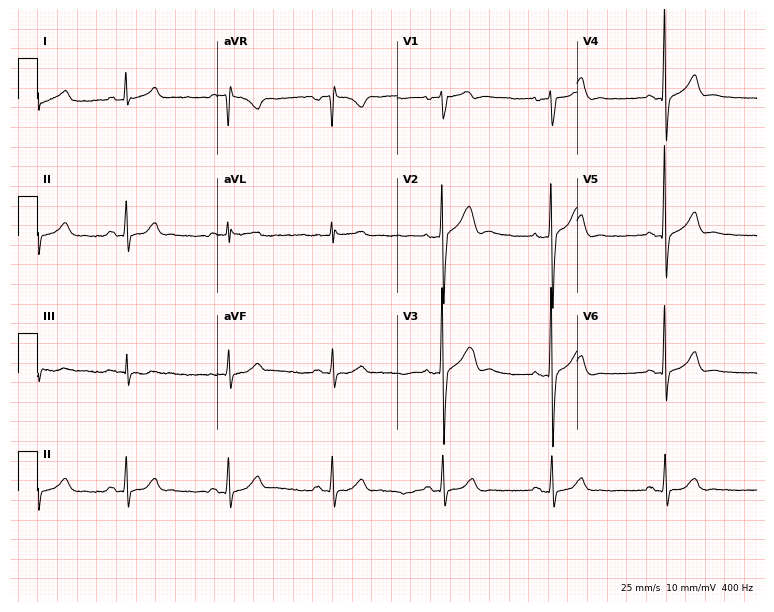
Electrocardiogram (7.3-second recording at 400 Hz), a male, 49 years old. Of the six screened findings (first-degree AV block, right bundle branch block, left bundle branch block, sinus bradycardia, atrial fibrillation, sinus tachycardia), none is recorded. Other findings, if any, are not listed.